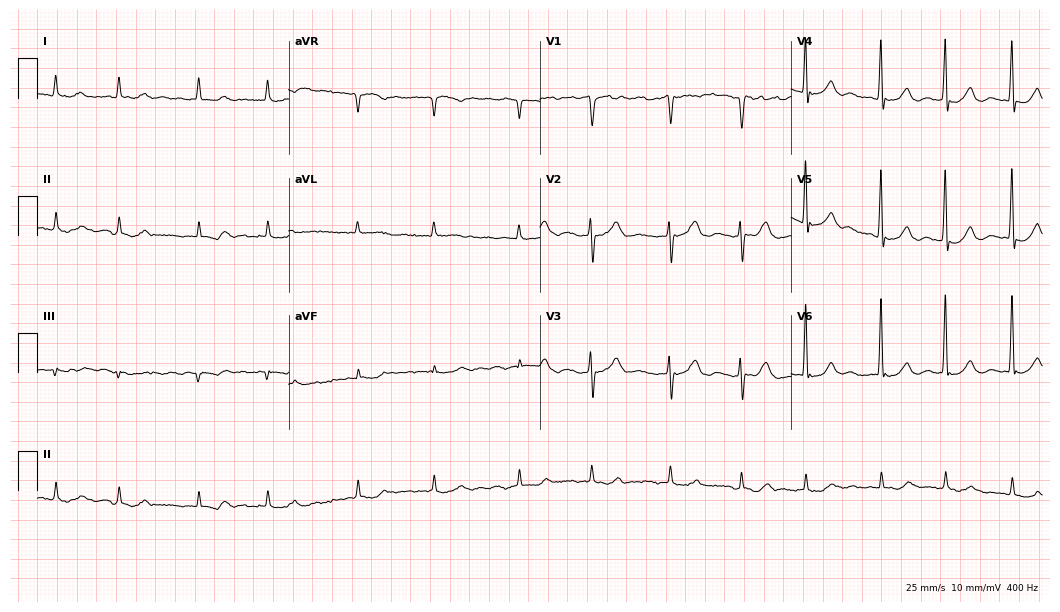
Standard 12-lead ECG recorded from a 79-year-old male patient (10.2-second recording at 400 Hz). The tracing shows atrial fibrillation (AF).